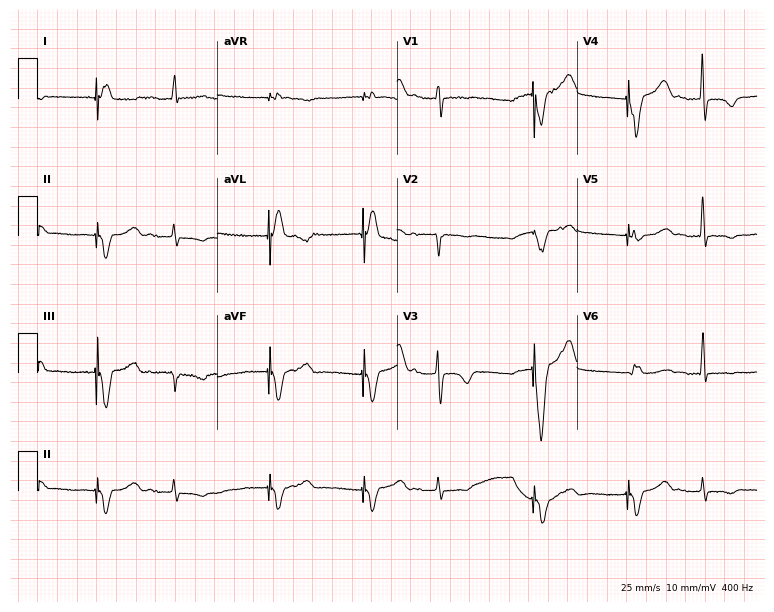
Electrocardiogram (7.3-second recording at 400 Hz), a woman, 81 years old. Of the six screened findings (first-degree AV block, right bundle branch block (RBBB), left bundle branch block (LBBB), sinus bradycardia, atrial fibrillation (AF), sinus tachycardia), none is recorded. Only these six findings were labelled.